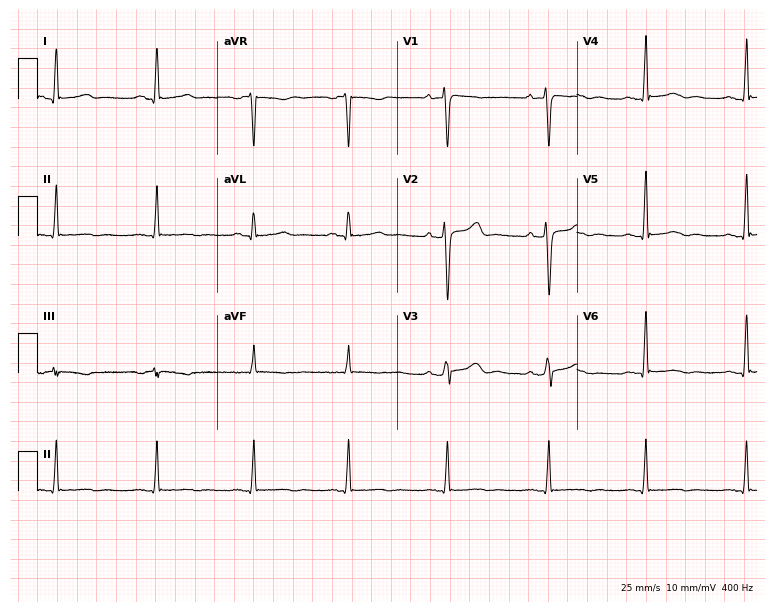
ECG (7.3-second recording at 400 Hz) — a 53-year-old female patient. Labelled as a normal ECG.